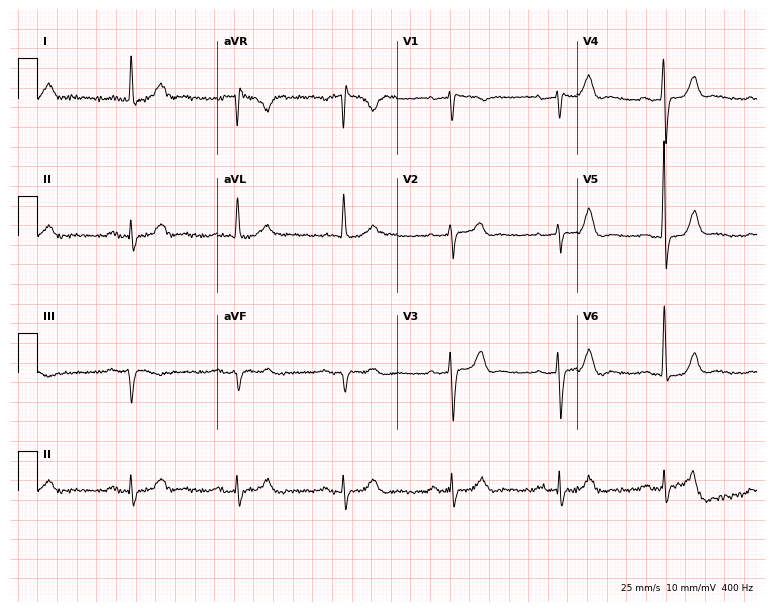
12-lead ECG from a 74-year-old male. No first-degree AV block, right bundle branch block (RBBB), left bundle branch block (LBBB), sinus bradycardia, atrial fibrillation (AF) or sinus tachycardia recorded for this tracing.